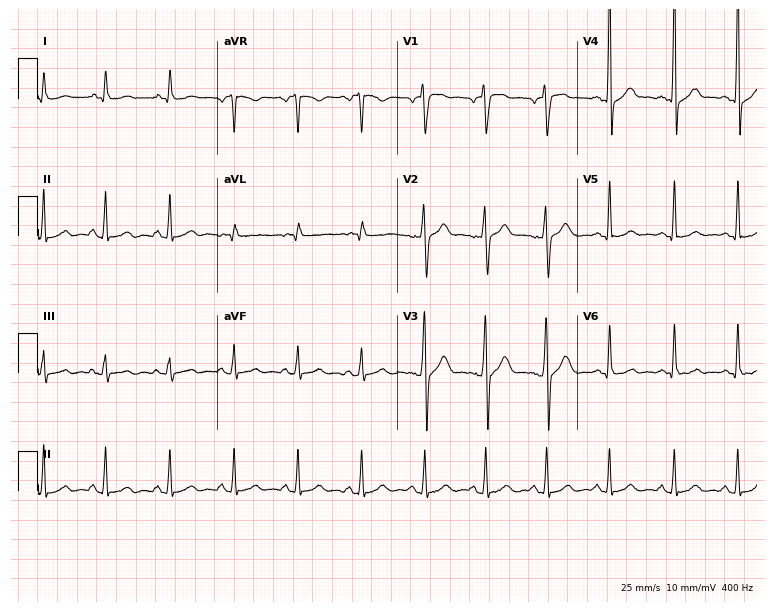
12-lead ECG from a male patient, 31 years old (7.3-second recording at 400 Hz). No first-degree AV block, right bundle branch block, left bundle branch block, sinus bradycardia, atrial fibrillation or sinus tachycardia recorded for this tracing.